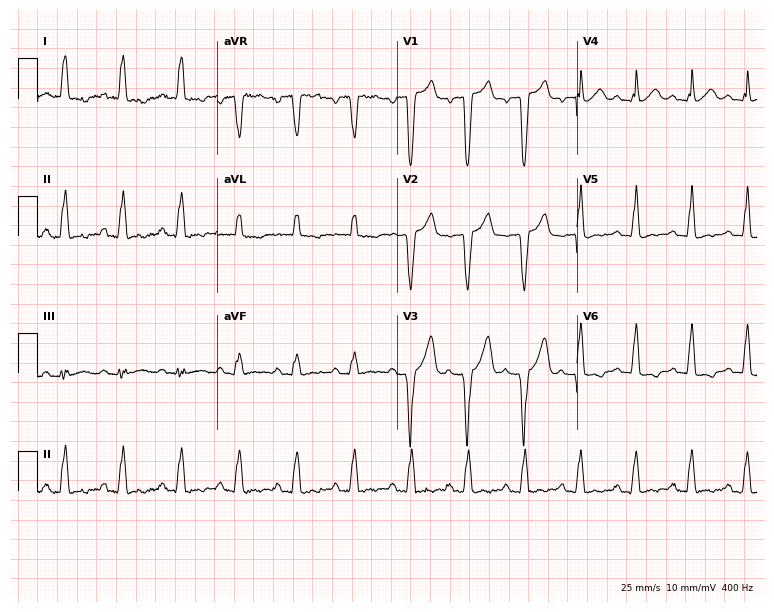
Electrocardiogram, a male patient, 75 years old. Interpretation includes sinus tachycardia (a sinus rate of 100 beats per minute or more).